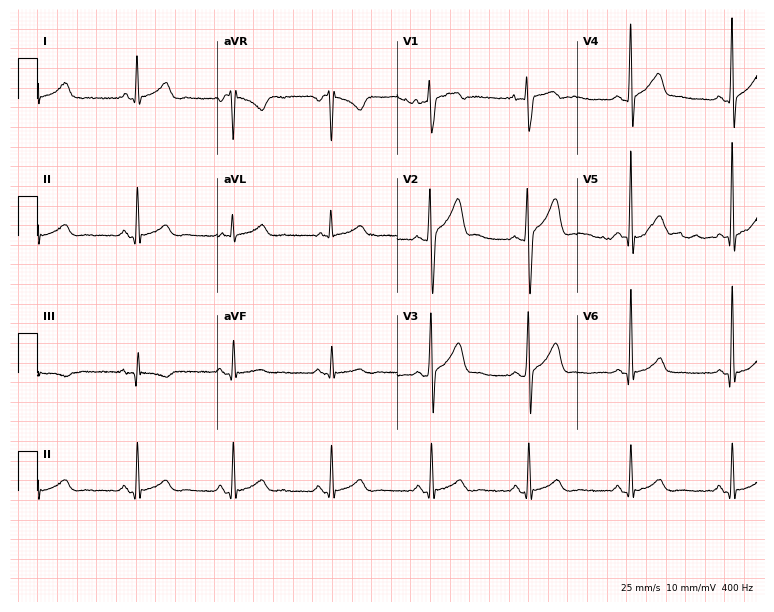
12-lead ECG from a 25-year-old male patient. Recorded interpretation: within normal limits.